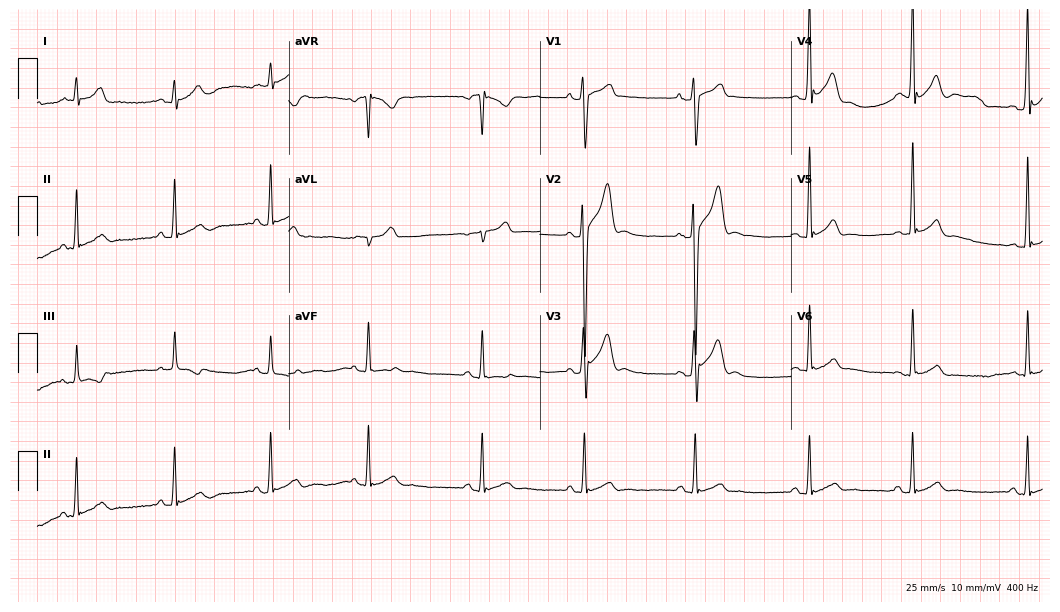
12-lead ECG from a 21-year-old man. No first-degree AV block, right bundle branch block, left bundle branch block, sinus bradycardia, atrial fibrillation or sinus tachycardia recorded for this tracing.